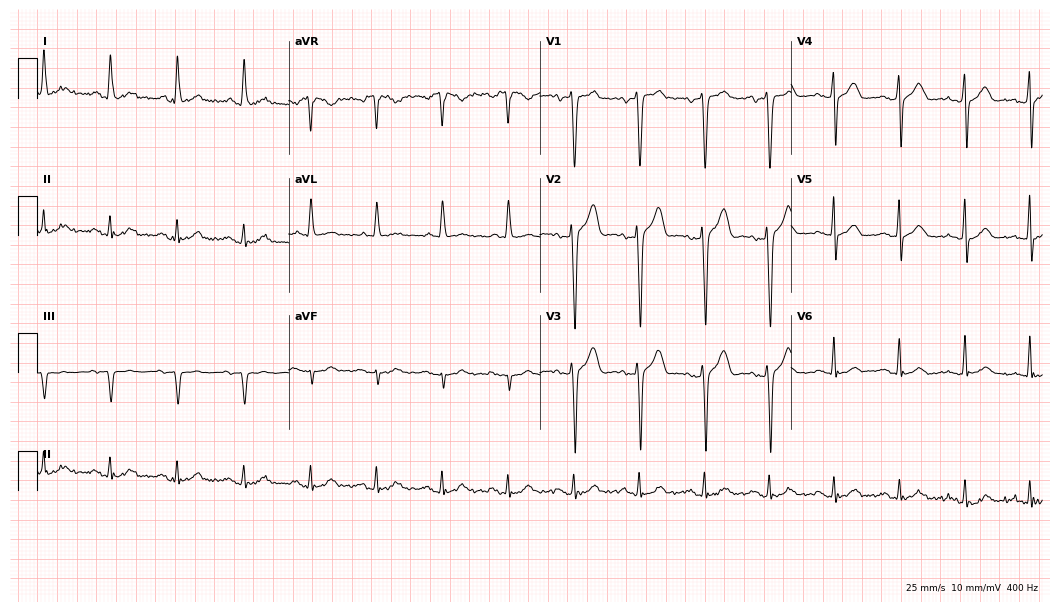
Resting 12-lead electrocardiogram. Patient: a 52-year-old male. Read as a normal ECG.